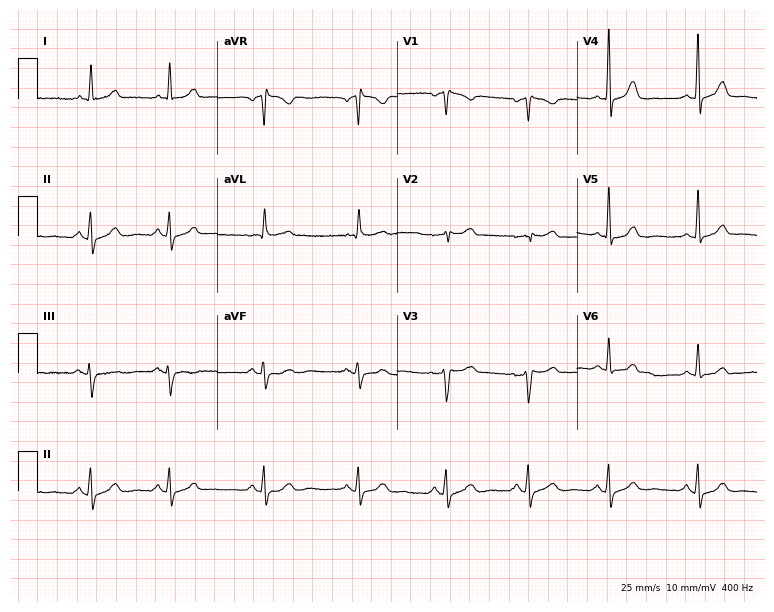
Resting 12-lead electrocardiogram (7.3-second recording at 400 Hz). Patient: a 42-year-old female. Read as a normal ECG.